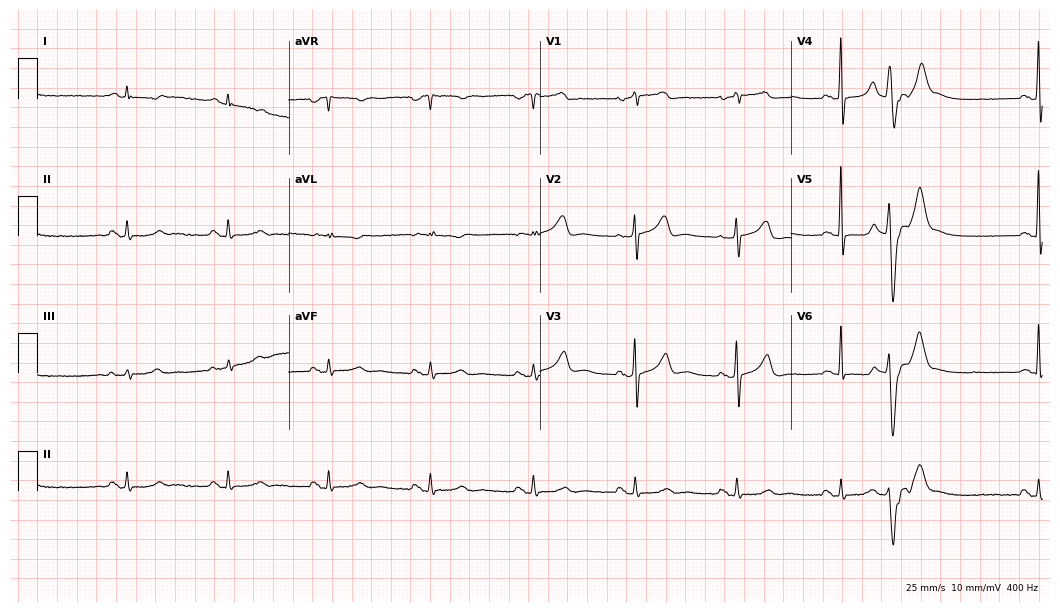
ECG (10.2-second recording at 400 Hz) — a female, 80 years old. Screened for six findings — first-degree AV block, right bundle branch block, left bundle branch block, sinus bradycardia, atrial fibrillation, sinus tachycardia — none is recorded. Only these six findings were labelled.